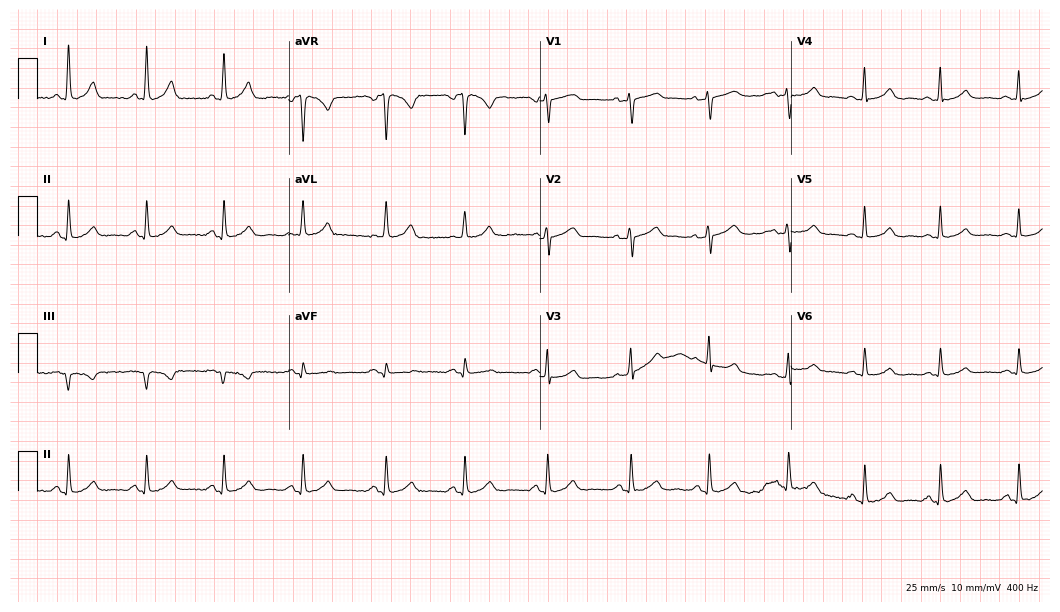
Standard 12-lead ECG recorded from a woman, 40 years old. Read as a normal ECG.